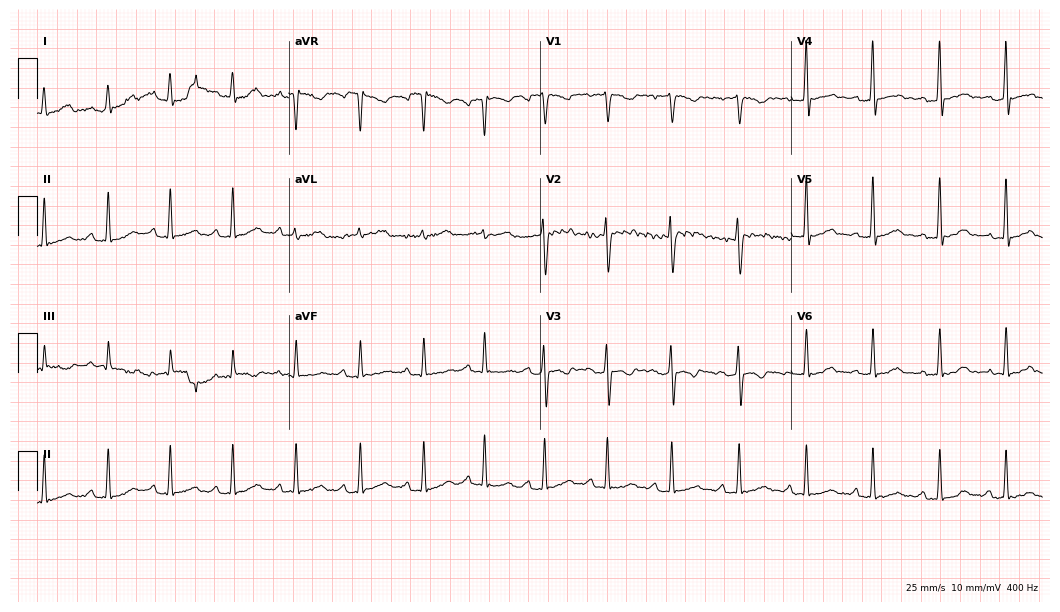
Resting 12-lead electrocardiogram (10.2-second recording at 400 Hz). Patient: a 25-year-old woman. None of these six findings is recorded: first-degree AV block, right bundle branch block (RBBB), left bundle branch block (LBBB), sinus bradycardia, atrial fibrillation (AF), sinus tachycardia. Findings outside these six are not listed.